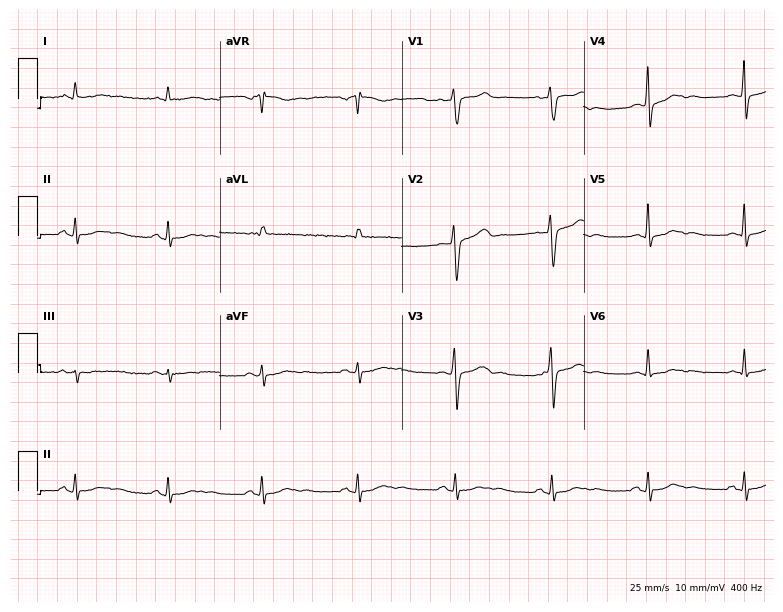
Standard 12-lead ECG recorded from a 57-year-old male patient (7.4-second recording at 400 Hz). None of these six findings is recorded: first-degree AV block, right bundle branch block (RBBB), left bundle branch block (LBBB), sinus bradycardia, atrial fibrillation (AF), sinus tachycardia. Other findings, if any, are not listed.